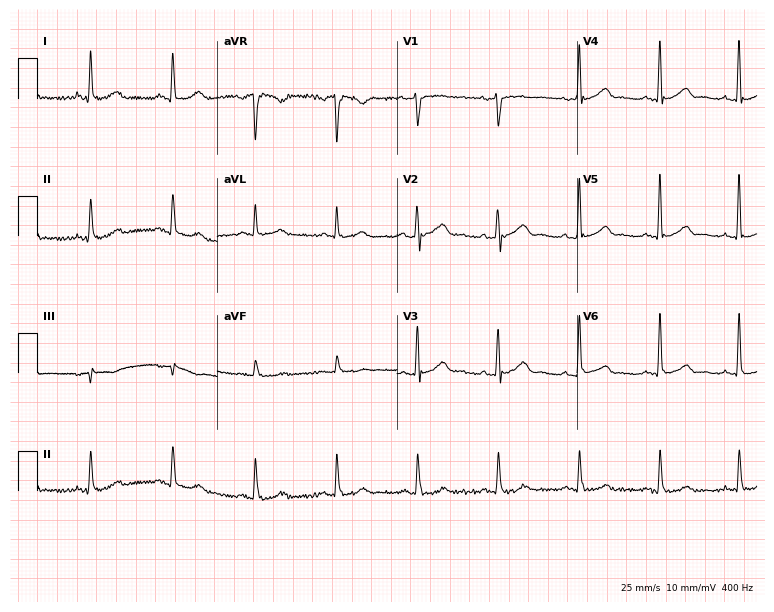
Resting 12-lead electrocardiogram. Patient: a 40-year-old male. Read as a normal ECG.